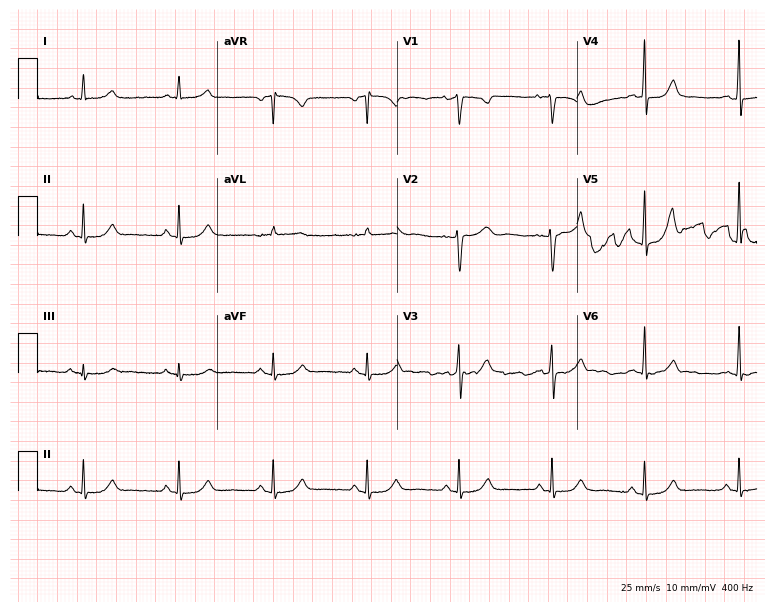
Resting 12-lead electrocardiogram (7.3-second recording at 400 Hz). Patient: a 54-year-old woman. None of these six findings is recorded: first-degree AV block, right bundle branch block (RBBB), left bundle branch block (LBBB), sinus bradycardia, atrial fibrillation (AF), sinus tachycardia.